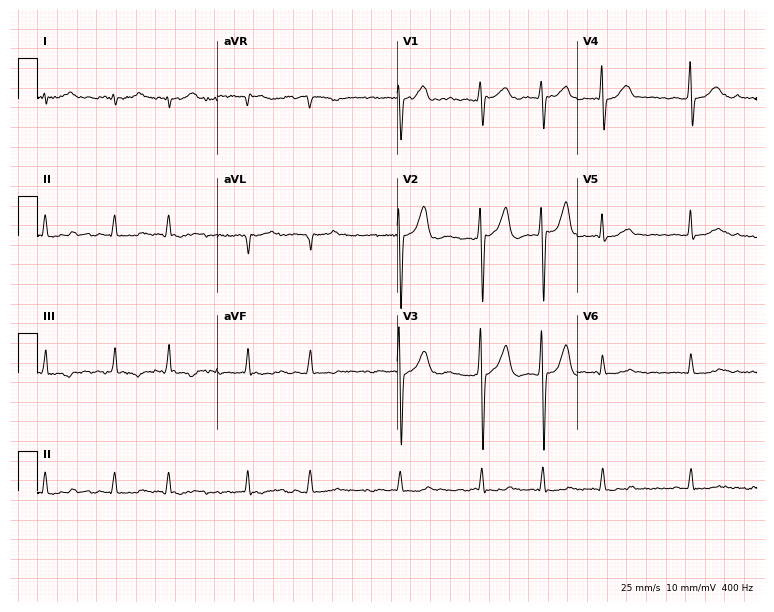
Standard 12-lead ECG recorded from a 45-year-old man (7.3-second recording at 400 Hz). None of these six findings is recorded: first-degree AV block, right bundle branch block (RBBB), left bundle branch block (LBBB), sinus bradycardia, atrial fibrillation (AF), sinus tachycardia. Only these six findings were labelled.